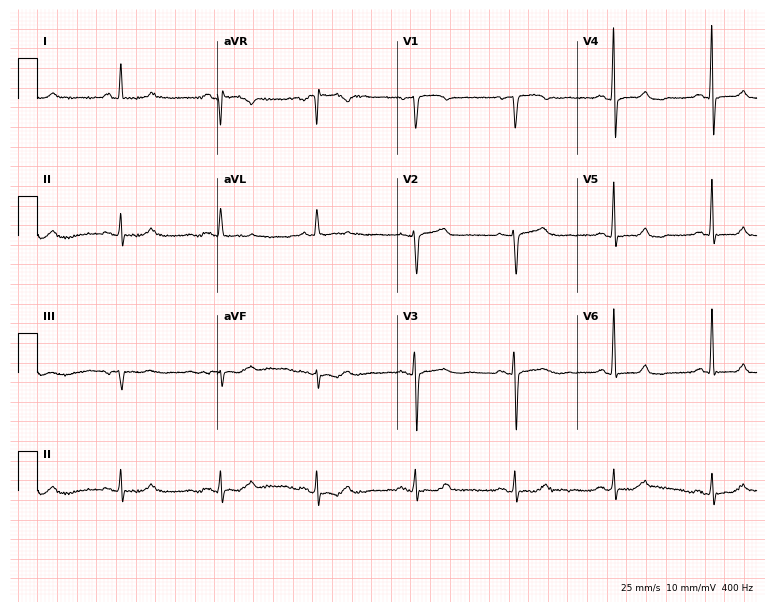
Resting 12-lead electrocardiogram. Patient: a female, 71 years old. None of these six findings is recorded: first-degree AV block, right bundle branch block, left bundle branch block, sinus bradycardia, atrial fibrillation, sinus tachycardia.